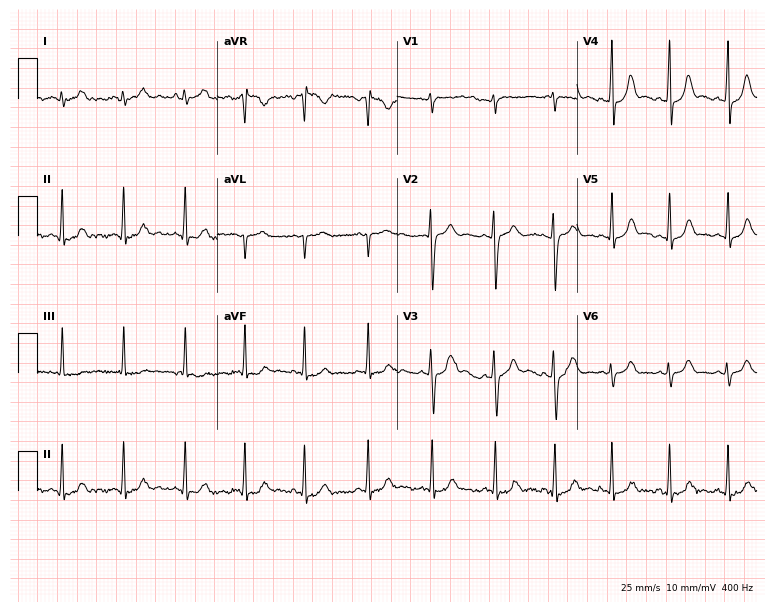
Electrocardiogram (7.3-second recording at 400 Hz), a woman, 25 years old. Overall reading on record: normal ECG.